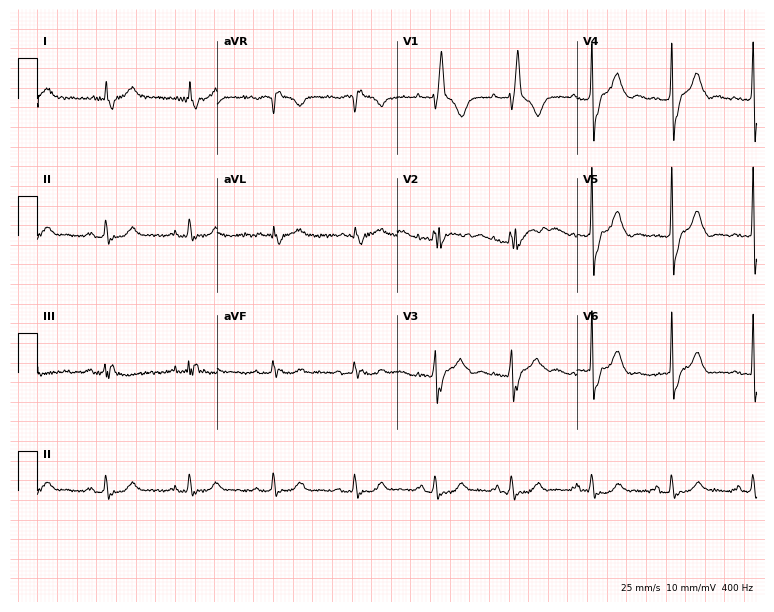
12-lead ECG from a male patient, 73 years old. Findings include right bundle branch block.